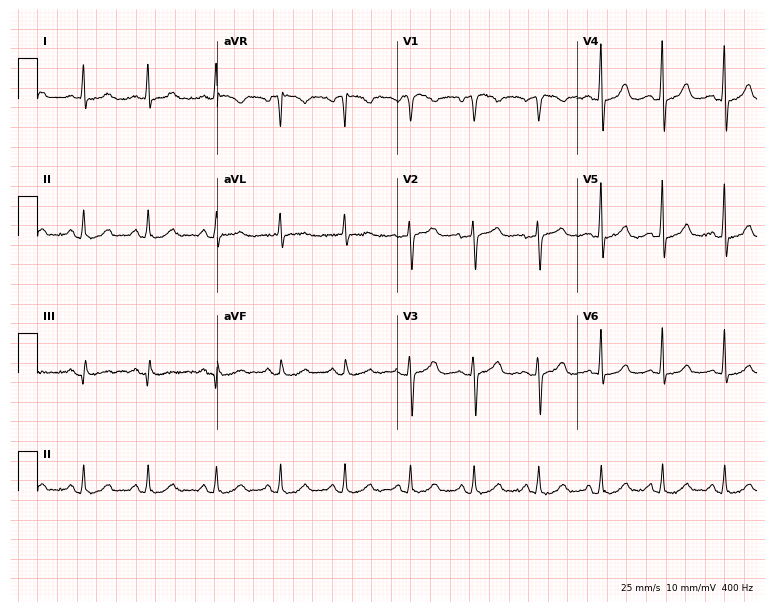
12-lead ECG (7.3-second recording at 400 Hz) from a 61-year-old woman. Screened for six findings — first-degree AV block, right bundle branch block, left bundle branch block, sinus bradycardia, atrial fibrillation, sinus tachycardia — none is recorded.